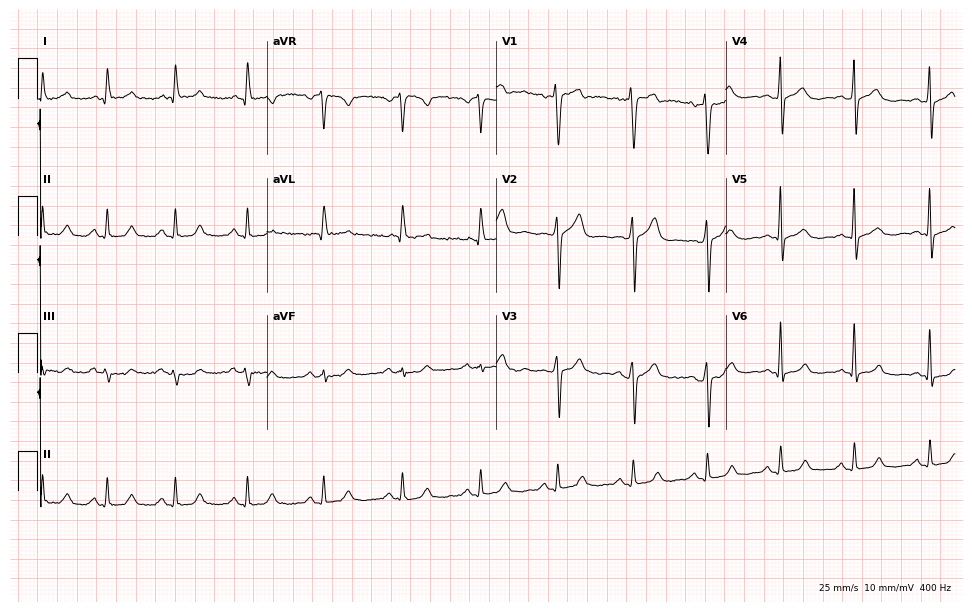
12-lead ECG from a 53-year-old man. Recorded interpretation: within normal limits.